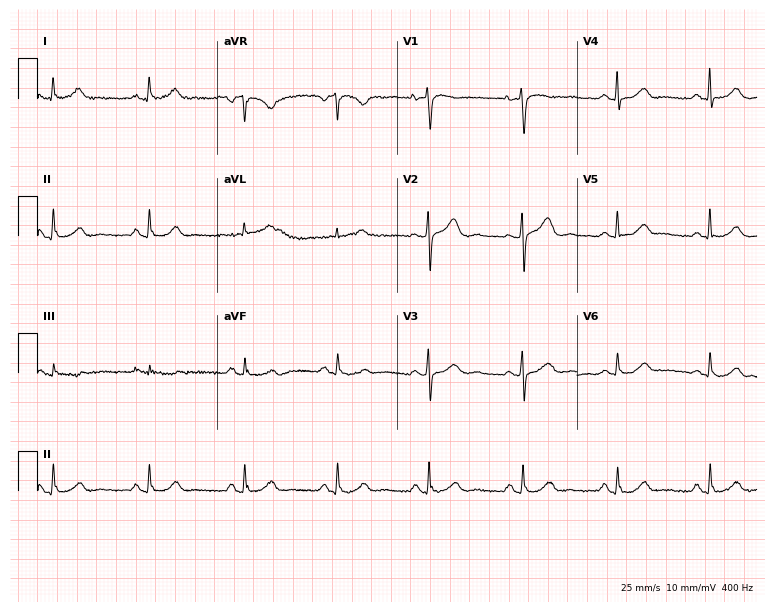
Electrocardiogram, a 61-year-old woman. Overall reading on record: normal ECG.